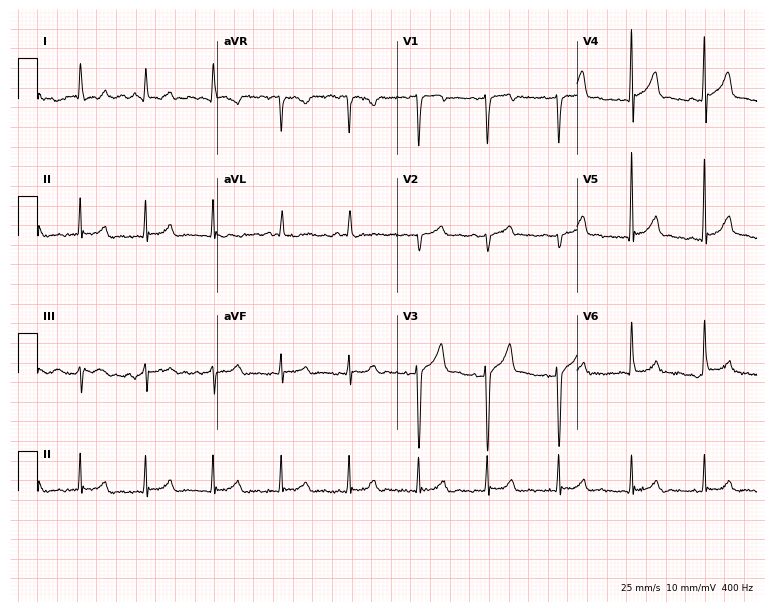
ECG (7.3-second recording at 400 Hz) — a male patient, 75 years old. Screened for six findings — first-degree AV block, right bundle branch block, left bundle branch block, sinus bradycardia, atrial fibrillation, sinus tachycardia — none is recorded.